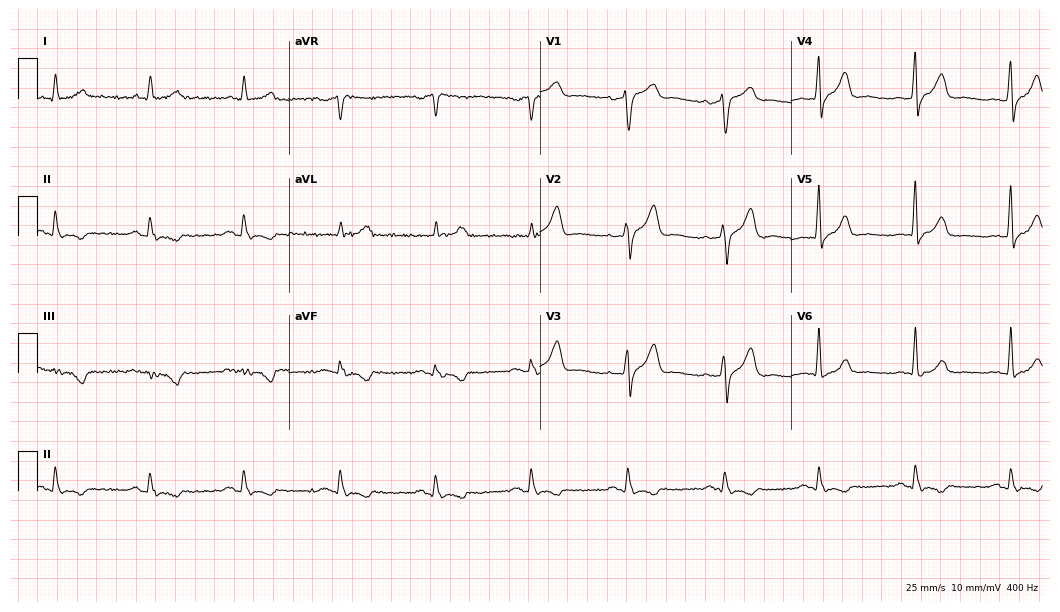
ECG — a 77-year-old male patient. Screened for six findings — first-degree AV block, right bundle branch block, left bundle branch block, sinus bradycardia, atrial fibrillation, sinus tachycardia — none is recorded. Only these six findings were labelled.